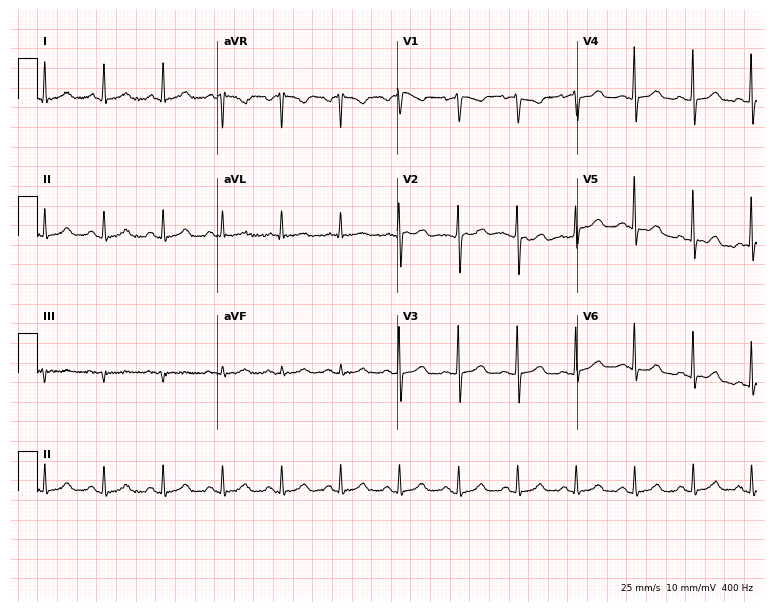
12-lead ECG (7.3-second recording at 400 Hz) from a woman, 70 years old. Findings include sinus tachycardia (a sinus rate of 100 beats per minute or more).